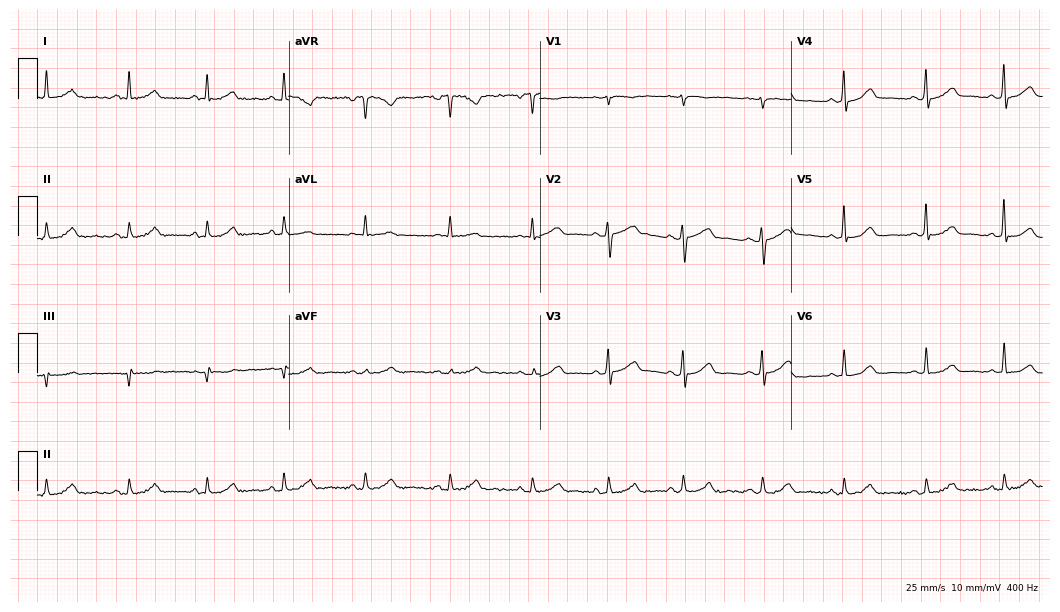
12-lead ECG from a woman, 53 years old. Screened for six findings — first-degree AV block, right bundle branch block, left bundle branch block, sinus bradycardia, atrial fibrillation, sinus tachycardia — none is recorded. Only these six findings were labelled.